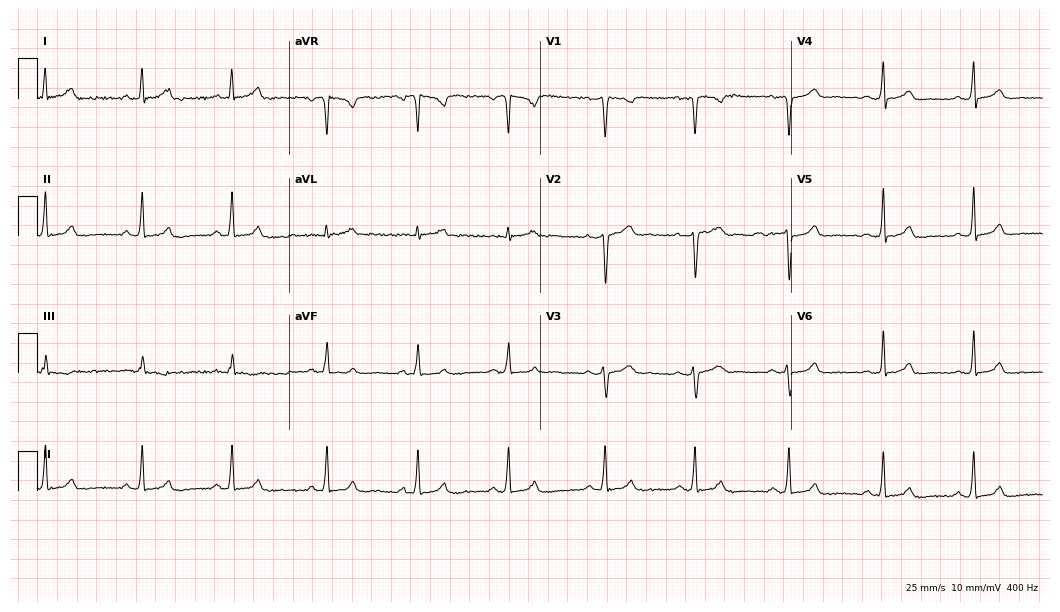
Electrocardiogram (10.2-second recording at 400 Hz), a 30-year-old female patient. Overall reading on record: normal ECG.